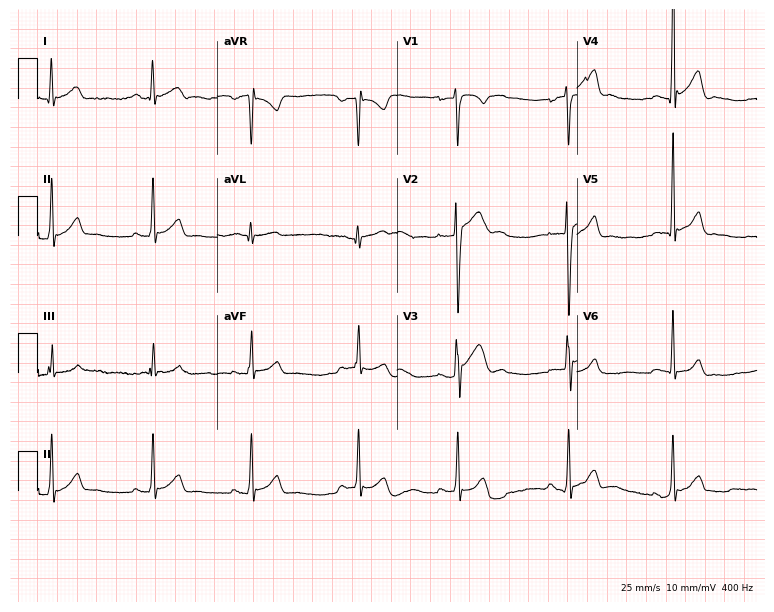
12-lead ECG from a male, 26 years old. No first-degree AV block, right bundle branch block (RBBB), left bundle branch block (LBBB), sinus bradycardia, atrial fibrillation (AF) or sinus tachycardia recorded for this tracing. Only these six findings were labelled.